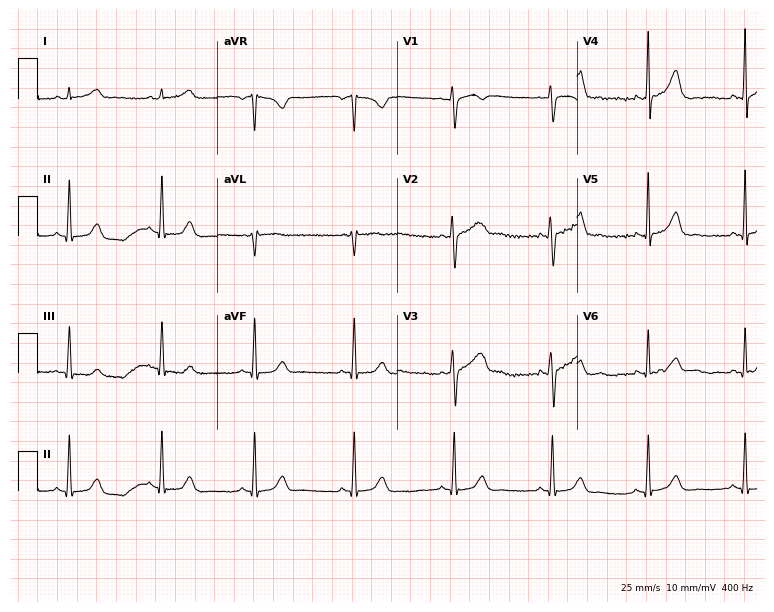
12-lead ECG from a 26-year-old female patient (7.3-second recording at 400 Hz). No first-degree AV block, right bundle branch block (RBBB), left bundle branch block (LBBB), sinus bradycardia, atrial fibrillation (AF) or sinus tachycardia recorded for this tracing.